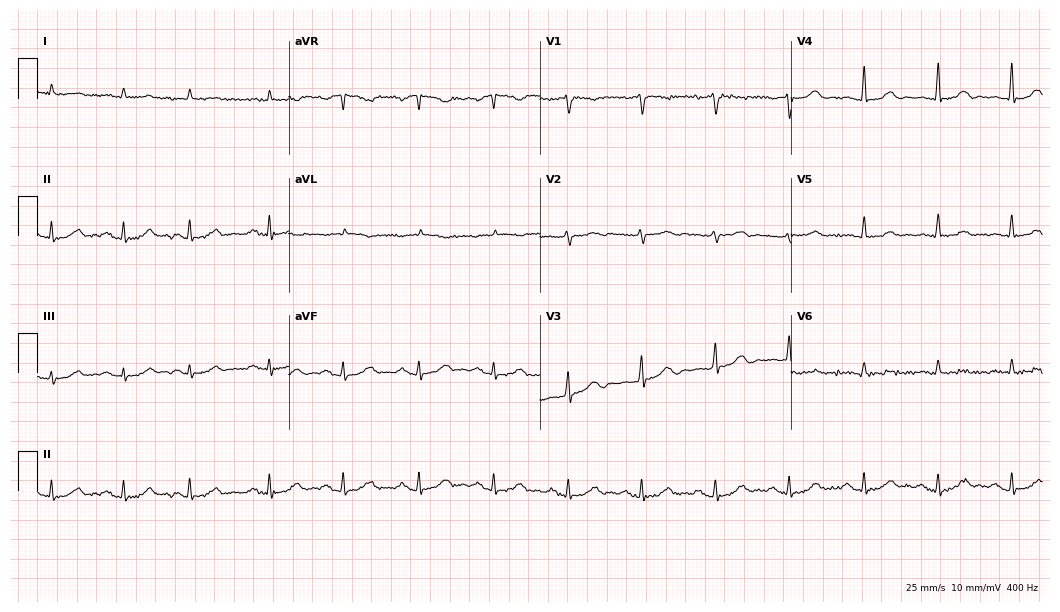
Electrocardiogram, a male patient, 71 years old. Of the six screened findings (first-degree AV block, right bundle branch block, left bundle branch block, sinus bradycardia, atrial fibrillation, sinus tachycardia), none is recorded.